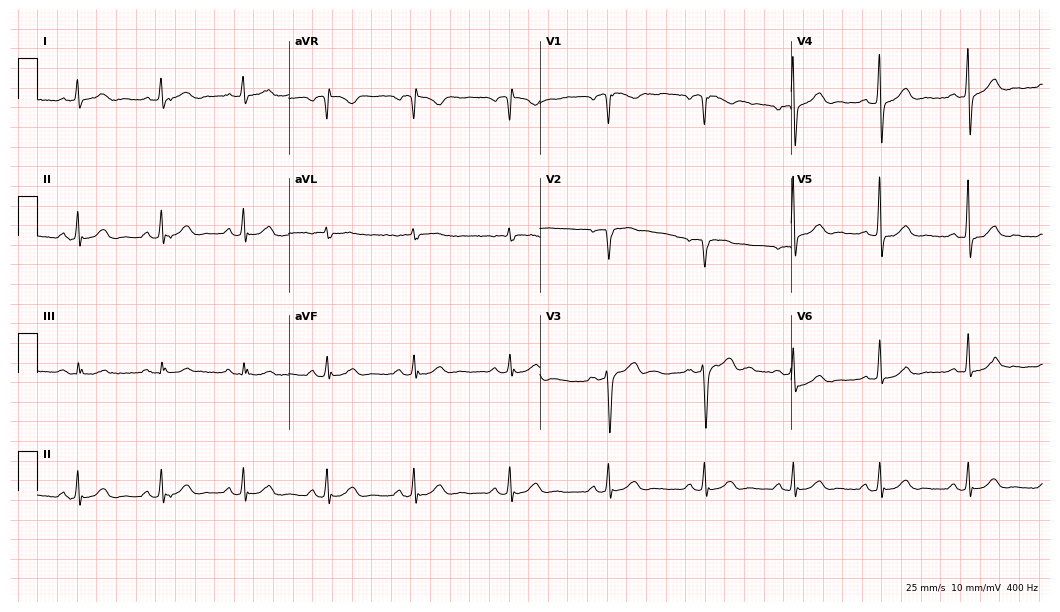
Resting 12-lead electrocardiogram (10.2-second recording at 400 Hz). Patient: a 60-year-old male. Read as a normal ECG.